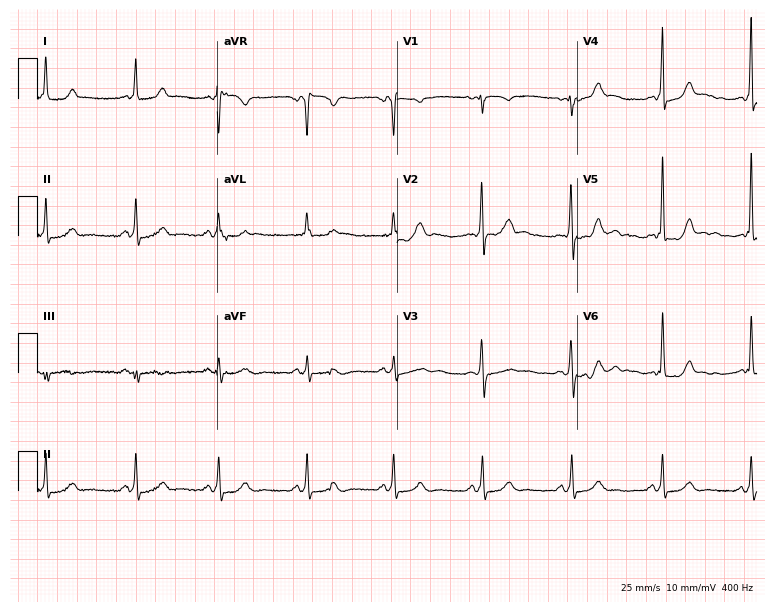
Electrocardiogram (7.3-second recording at 400 Hz), a 23-year-old female. Of the six screened findings (first-degree AV block, right bundle branch block, left bundle branch block, sinus bradycardia, atrial fibrillation, sinus tachycardia), none is recorded. Other findings, if any, are not listed.